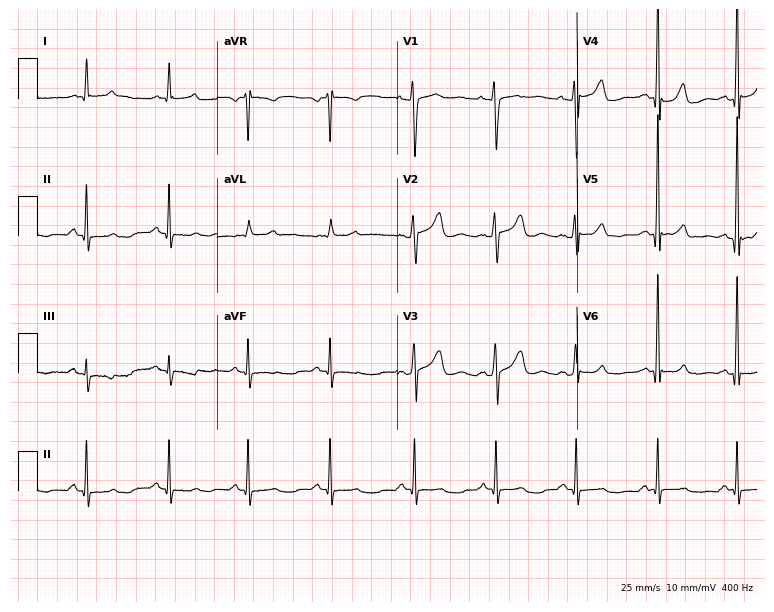
Electrocardiogram, a 44-year-old female. Overall reading on record: normal ECG.